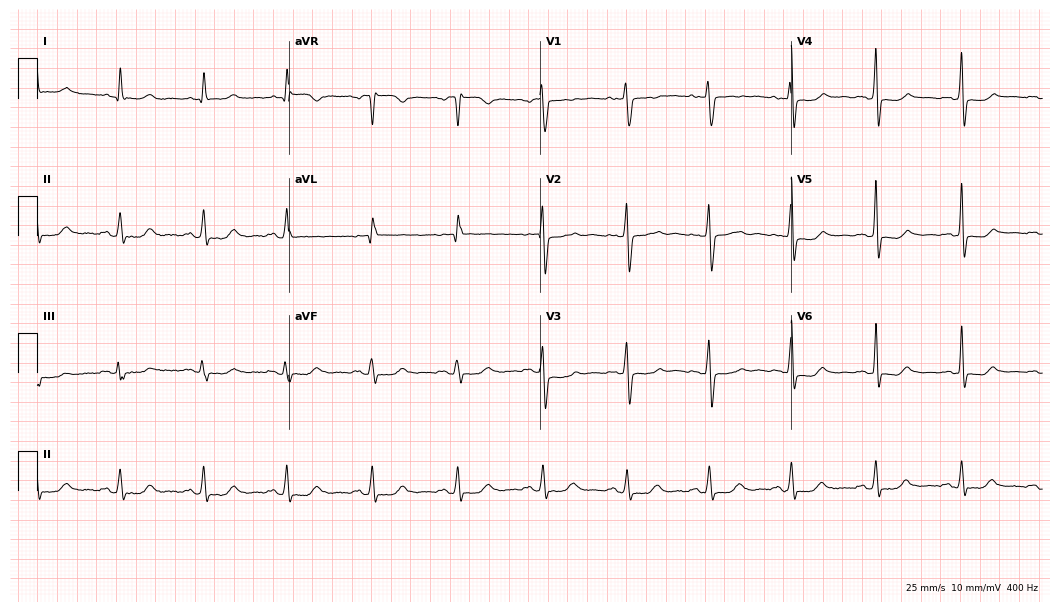
Resting 12-lead electrocardiogram (10.2-second recording at 400 Hz). Patient: a female, 49 years old. None of these six findings is recorded: first-degree AV block, right bundle branch block, left bundle branch block, sinus bradycardia, atrial fibrillation, sinus tachycardia. Findings outside these six are not listed.